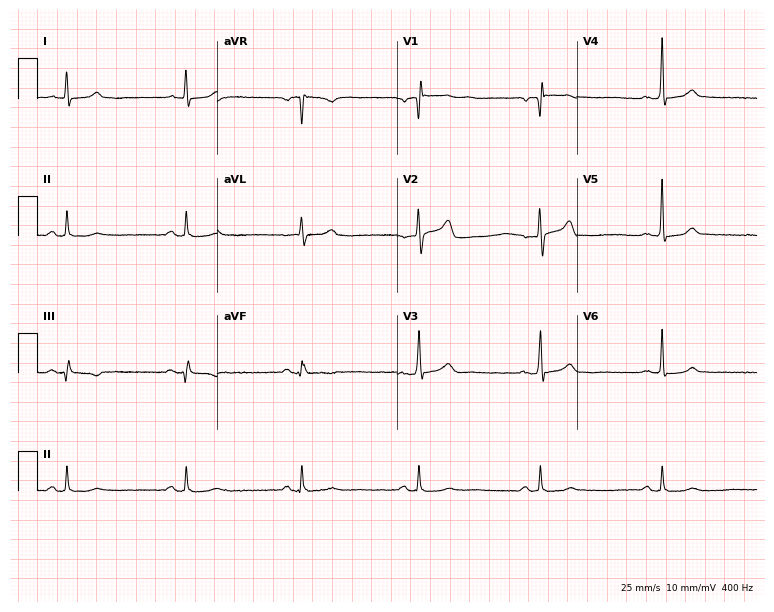
Electrocardiogram (7.3-second recording at 400 Hz), a 63-year-old male. Of the six screened findings (first-degree AV block, right bundle branch block, left bundle branch block, sinus bradycardia, atrial fibrillation, sinus tachycardia), none is recorded.